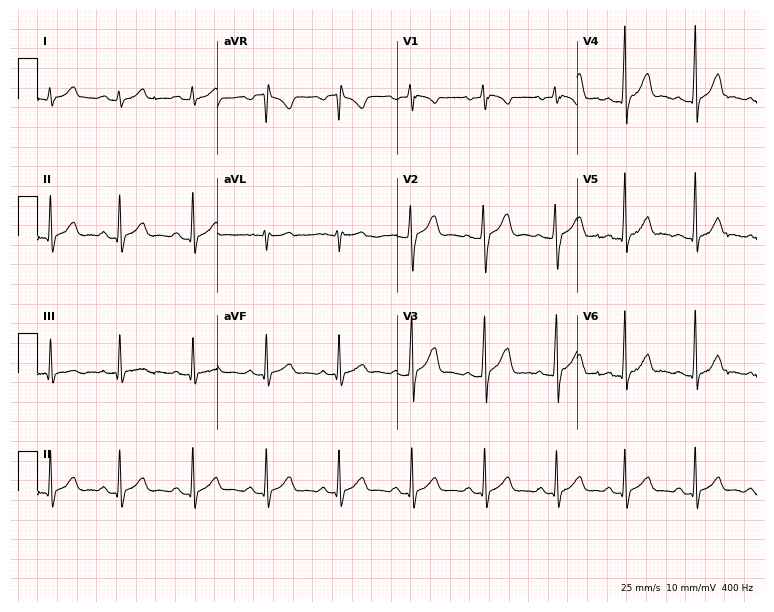
Resting 12-lead electrocardiogram. Patient: a 17-year-old male. None of these six findings is recorded: first-degree AV block, right bundle branch block (RBBB), left bundle branch block (LBBB), sinus bradycardia, atrial fibrillation (AF), sinus tachycardia. Findings outside these six are not listed.